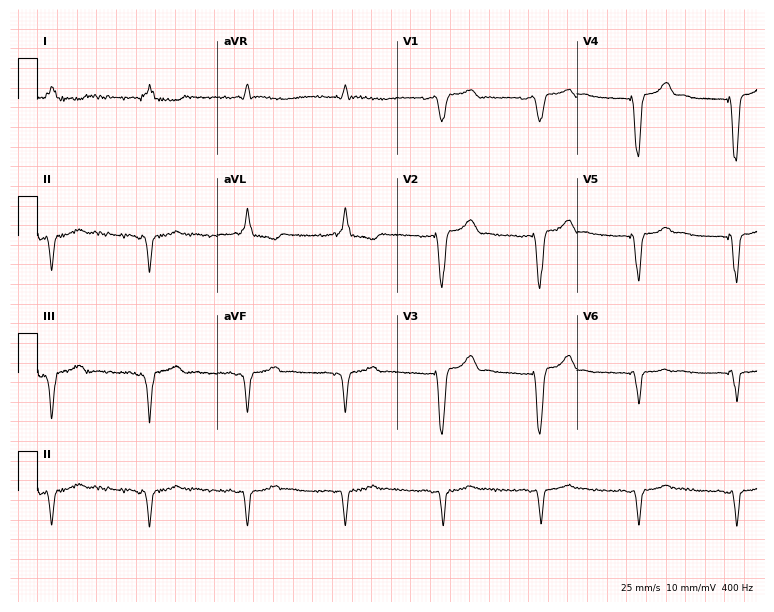
12-lead ECG from a 76-year-old woman. No first-degree AV block, right bundle branch block (RBBB), left bundle branch block (LBBB), sinus bradycardia, atrial fibrillation (AF) or sinus tachycardia recorded for this tracing. Only these six findings were labelled.